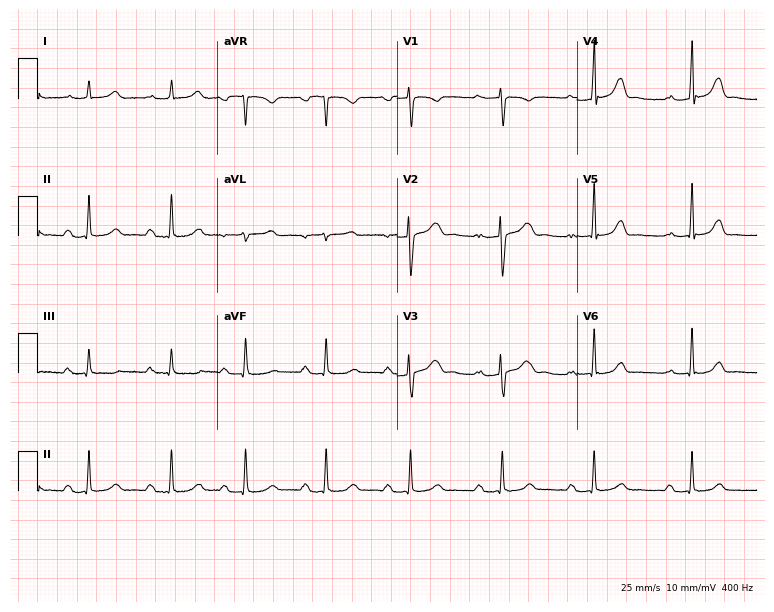
12-lead ECG from a 30-year-old female. Findings include first-degree AV block.